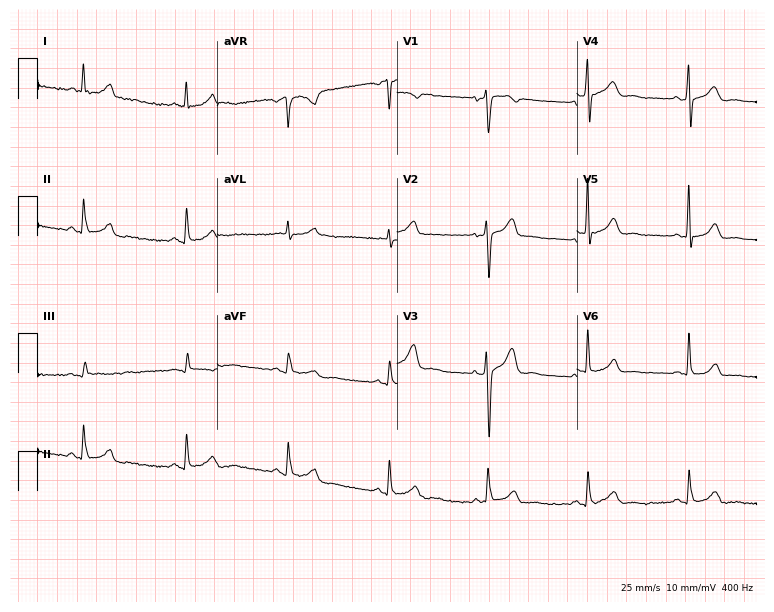
ECG (7.3-second recording at 400 Hz) — a male patient, 45 years old. Screened for six findings — first-degree AV block, right bundle branch block (RBBB), left bundle branch block (LBBB), sinus bradycardia, atrial fibrillation (AF), sinus tachycardia — none is recorded.